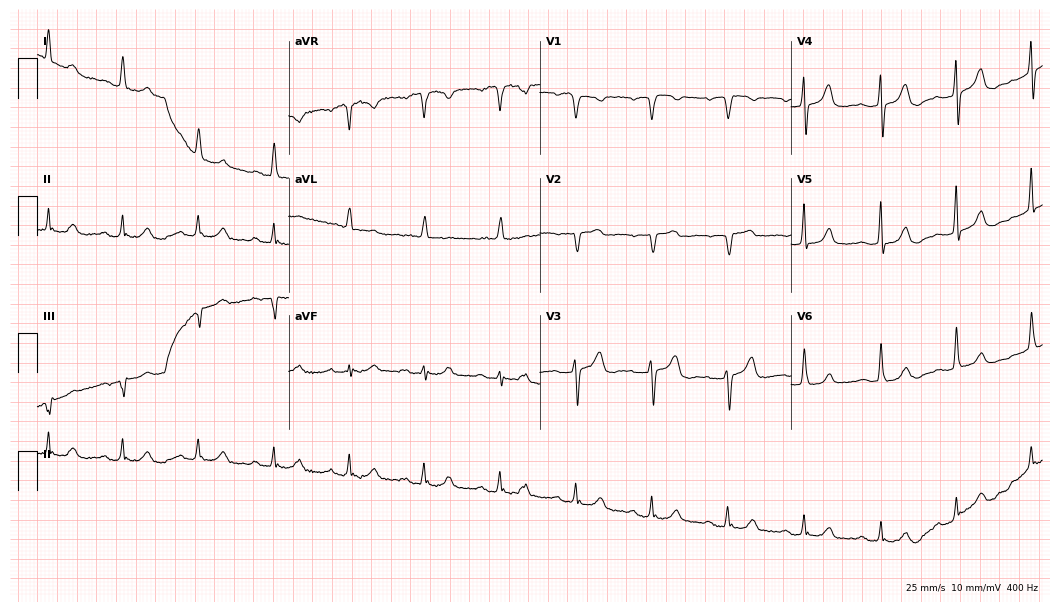
Electrocardiogram, a woman, 84 years old. Overall reading on record: normal ECG.